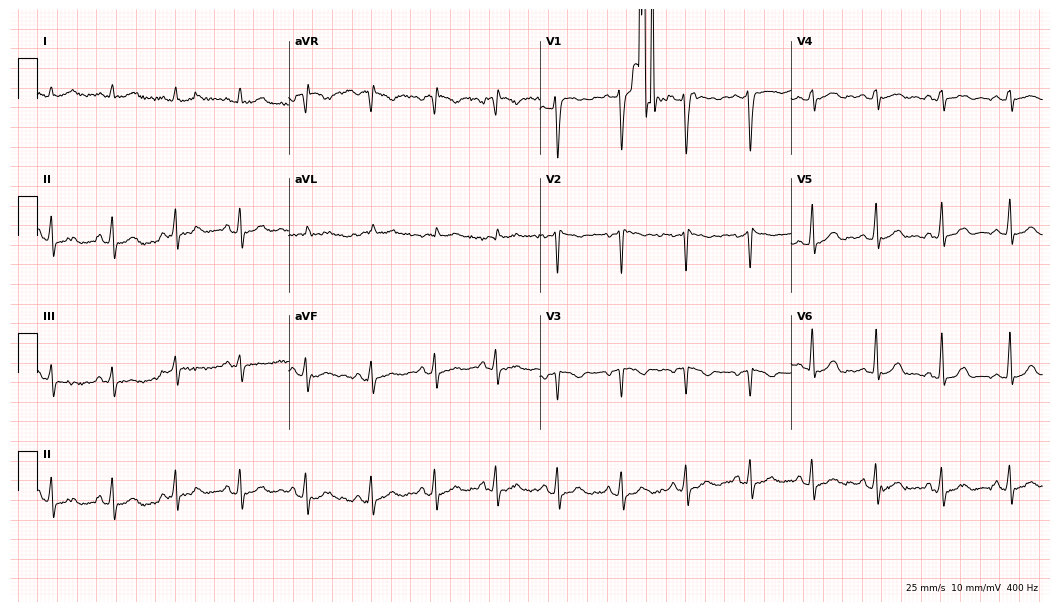
Standard 12-lead ECG recorded from a female patient, 28 years old. None of these six findings is recorded: first-degree AV block, right bundle branch block (RBBB), left bundle branch block (LBBB), sinus bradycardia, atrial fibrillation (AF), sinus tachycardia. Only these six findings were labelled.